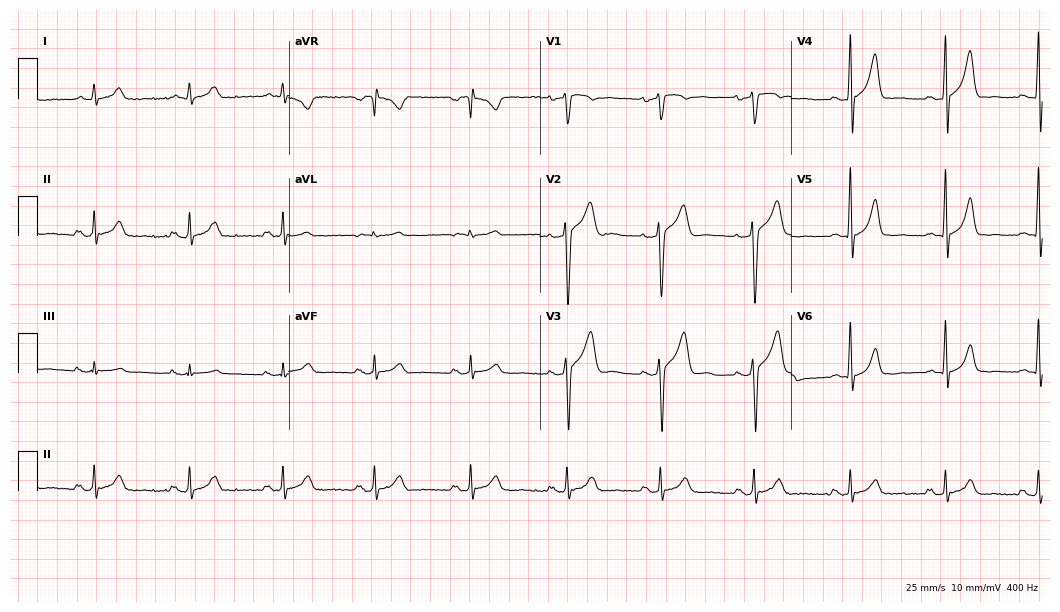
Resting 12-lead electrocardiogram. Patient: a male, 66 years old. None of these six findings is recorded: first-degree AV block, right bundle branch block, left bundle branch block, sinus bradycardia, atrial fibrillation, sinus tachycardia. Findings outside these six are not listed.